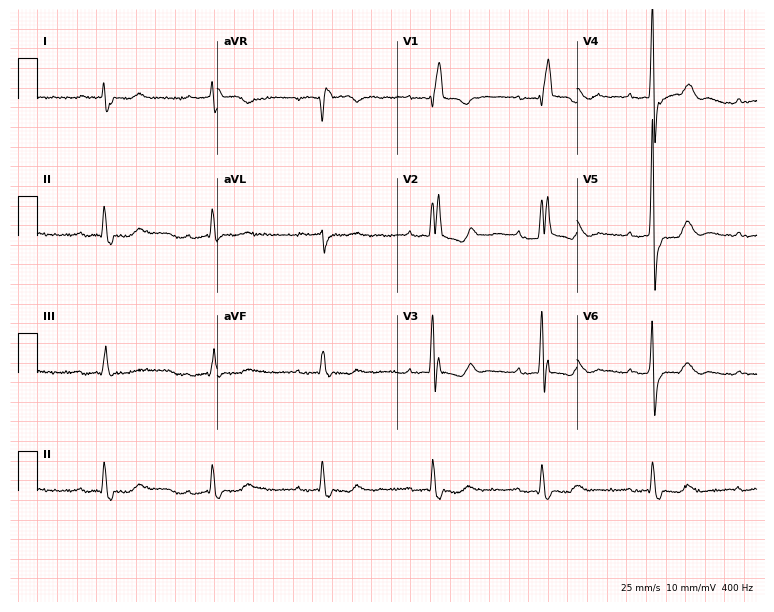
12-lead ECG from an 82-year-old male (7.3-second recording at 400 Hz). Shows first-degree AV block, right bundle branch block.